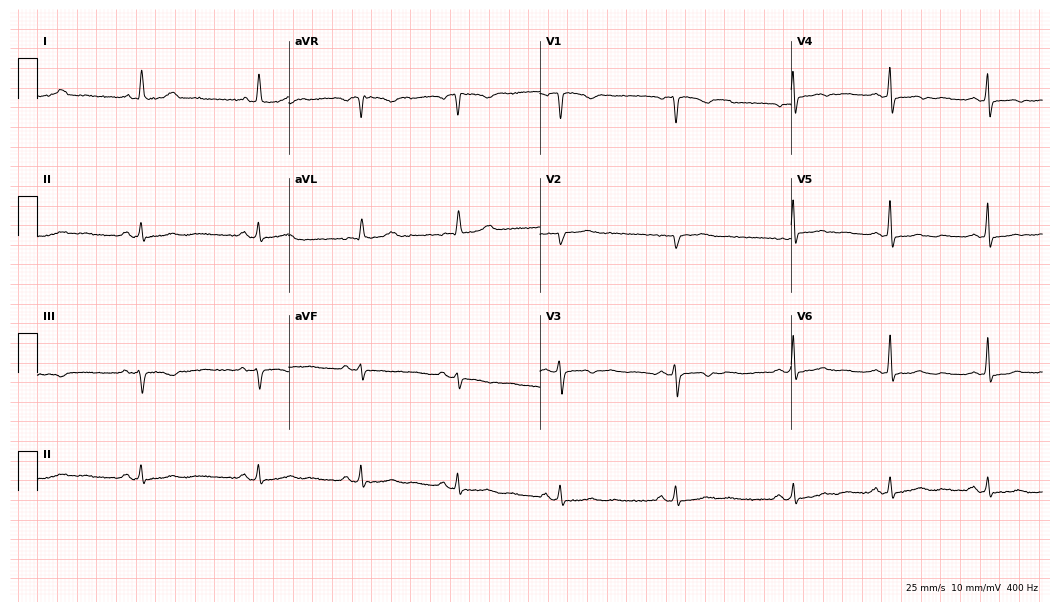
12-lead ECG from a 44-year-old female patient. Screened for six findings — first-degree AV block, right bundle branch block, left bundle branch block, sinus bradycardia, atrial fibrillation, sinus tachycardia — none is recorded. Findings outside these six are not listed.